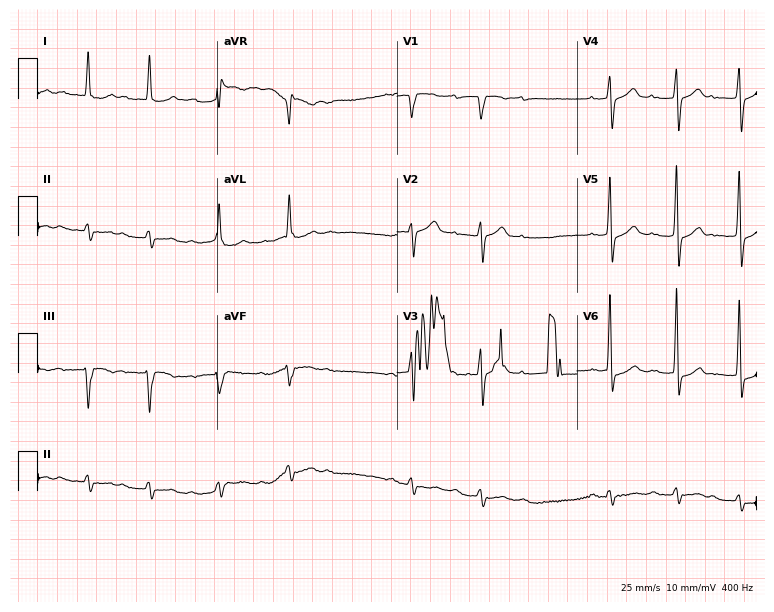
12-lead ECG (7.3-second recording at 400 Hz) from a woman, 84 years old. Findings include first-degree AV block.